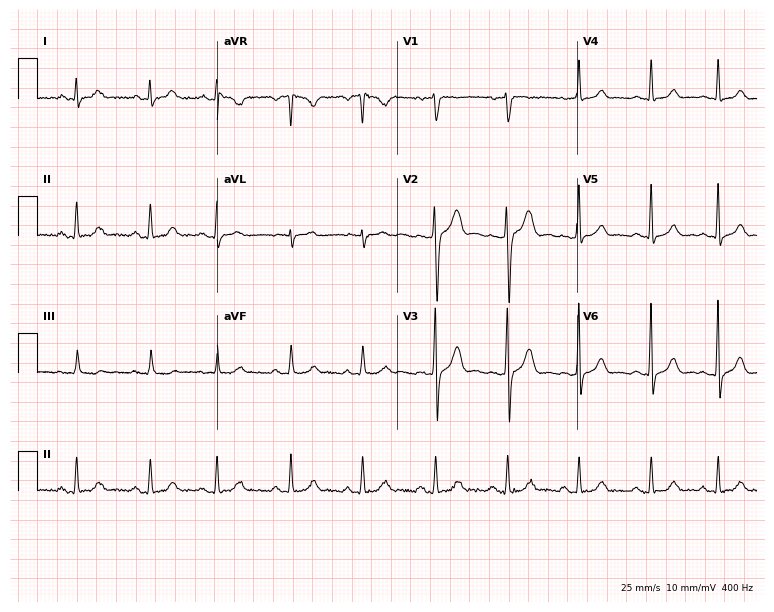
Electrocardiogram, a 42-year-old male. Overall reading on record: normal ECG.